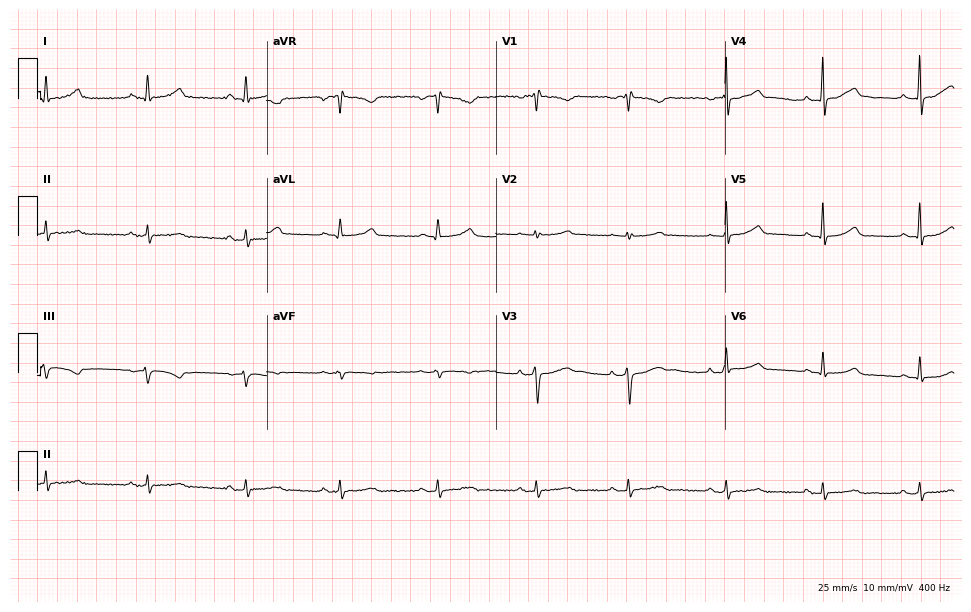
12-lead ECG from a female patient, 38 years old (9.3-second recording at 400 Hz). No first-degree AV block, right bundle branch block, left bundle branch block, sinus bradycardia, atrial fibrillation or sinus tachycardia recorded for this tracing. Only these six findings were labelled.